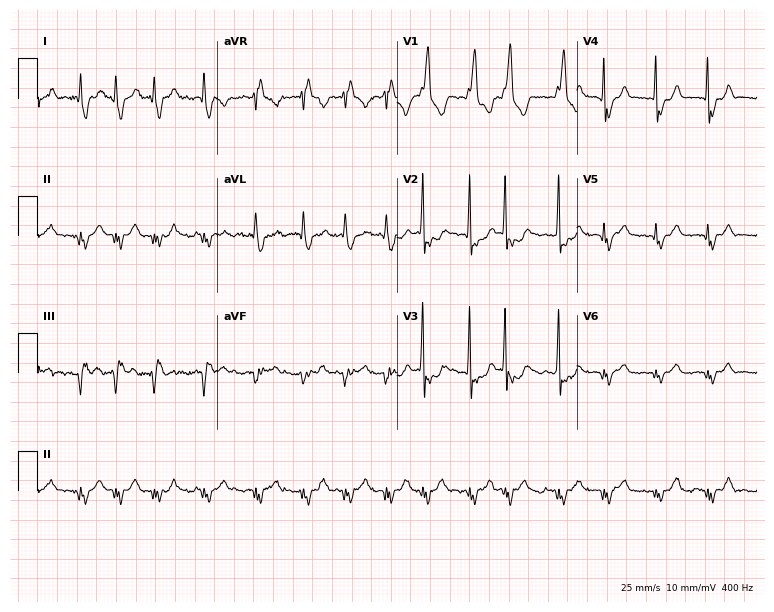
ECG — a male, 76 years old. Screened for six findings — first-degree AV block, right bundle branch block (RBBB), left bundle branch block (LBBB), sinus bradycardia, atrial fibrillation (AF), sinus tachycardia — none is recorded.